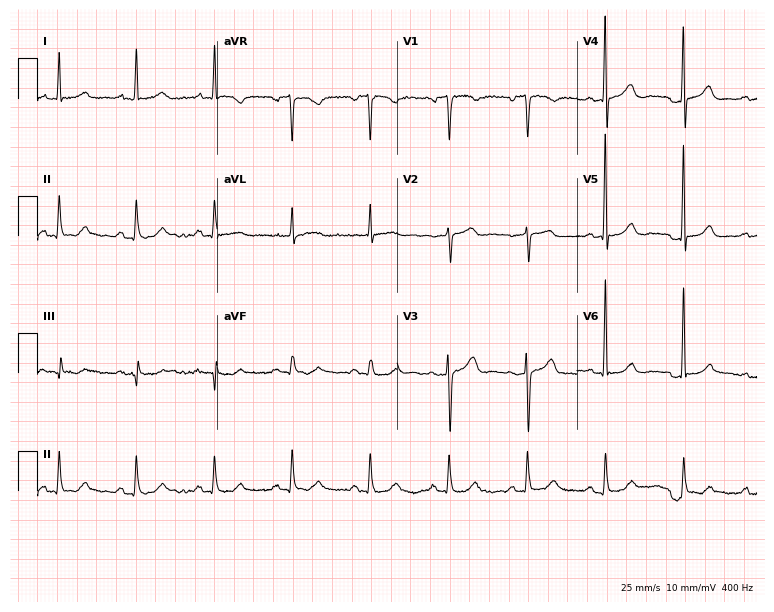
ECG — a male patient, 75 years old. Labelled as a normal ECG.